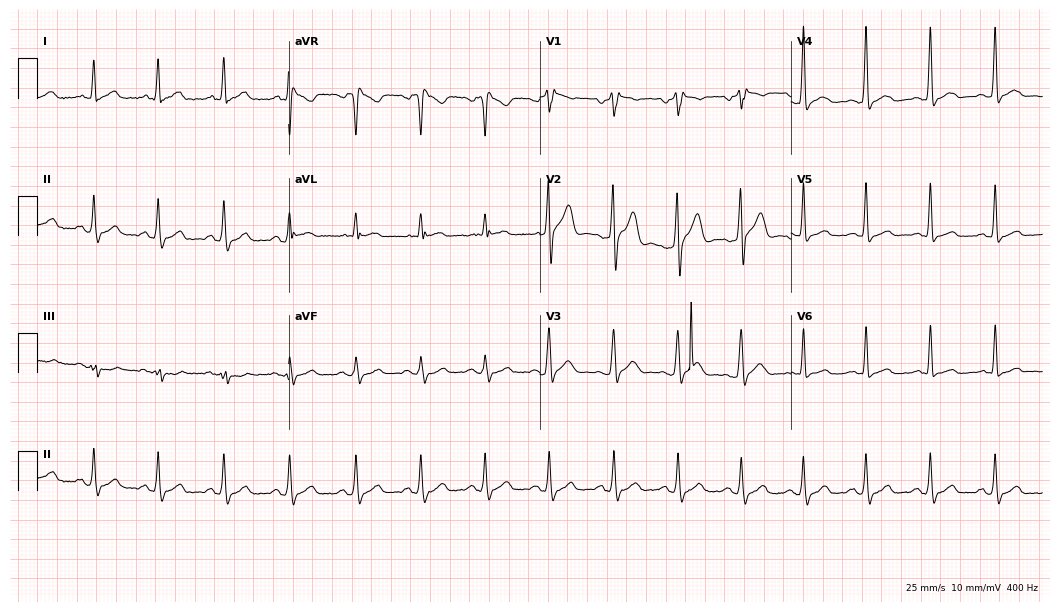
Electrocardiogram, a 47-year-old man. Of the six screened findings (first-degree AV block, right bundle branch block (RBBB), left bundle branch block (LBBB), sinus bradycardia, atrial fibrillation (AF), sinus tachycardia), none is recorded.